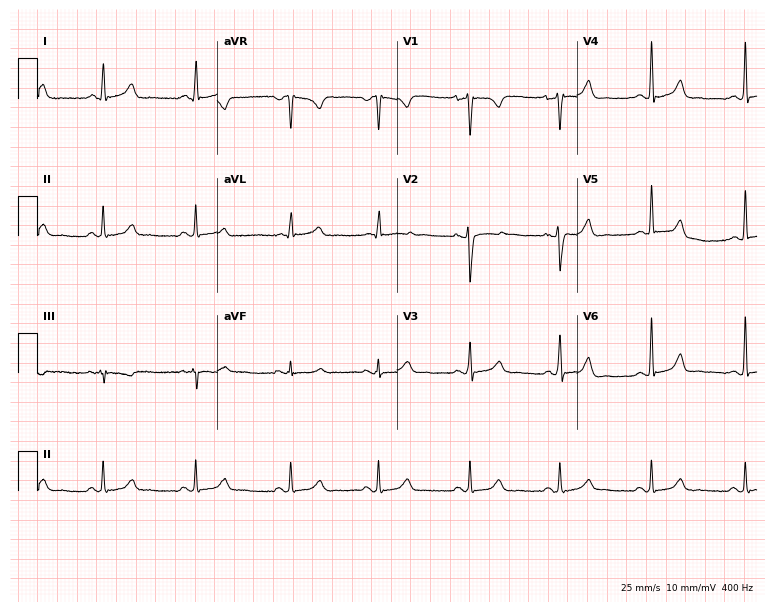
12-lead ECG (7.3-second recording at 400 Hz) from a 36-year-old woman. Labelled as a normal ECG.